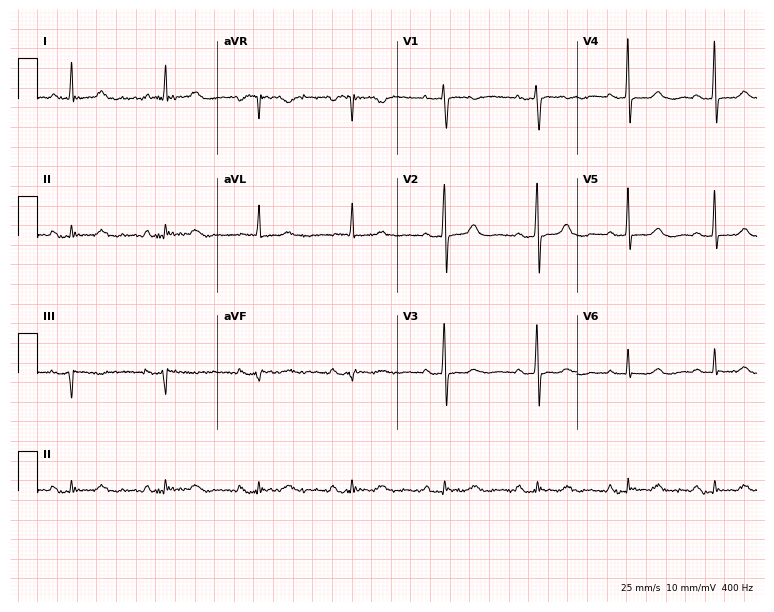
Resting 12-lead electrocardiogram. Patient: a woman, 76 years old. None of these six findings is recorded: first-degree AV block, right bundle branch block, left bundle branch block, sinus bradycardia, atrial fibrillation, sinus tachycardia.